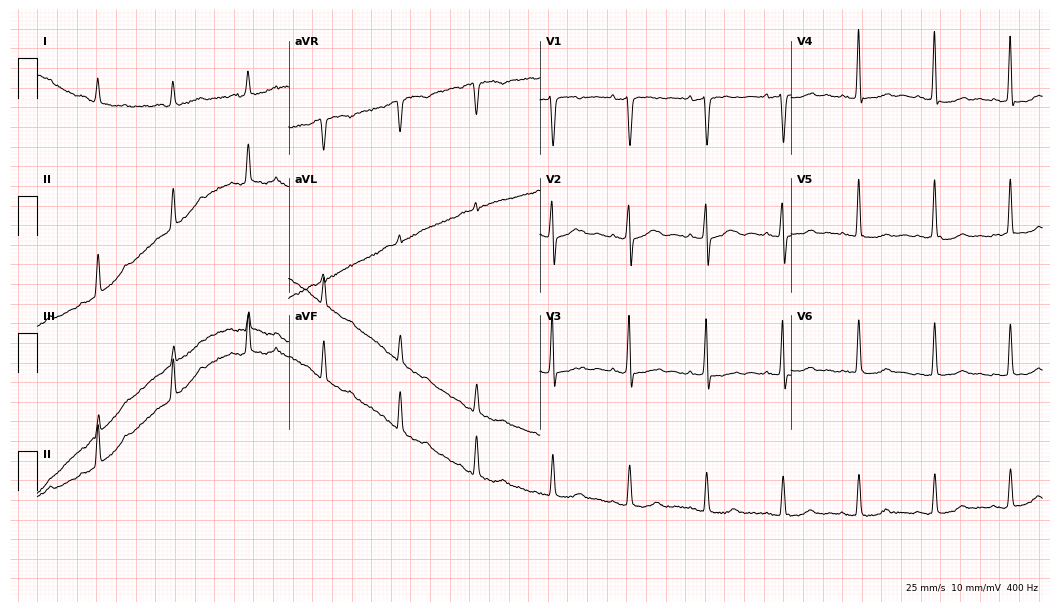
Resting 12-lead electrocardiogram (10.2-second recording at 400 Hz). Patient: an 82-year-old female. None of these six findings is recorded: first-degree AV block, right bundle branch block, left bundle branch block, sinus bradycardia, atrial fibrillation, sinus tachycardia. Only these six findings were labelled.